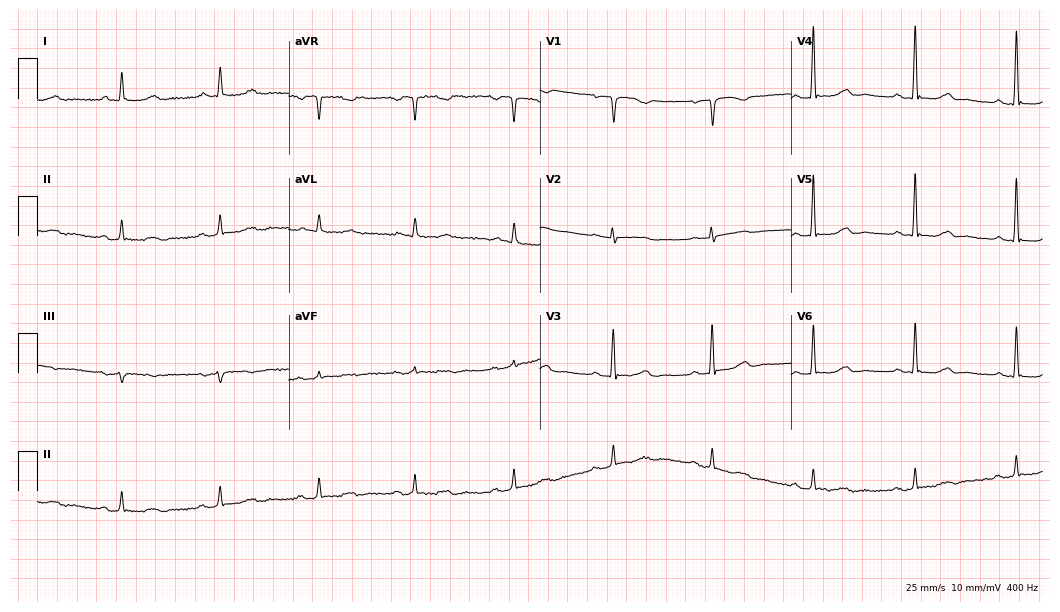
Electrocardiogram, a 60-year-old woman. Of the six screened findings (first-degree AV block, right bundle branch block, left bundle branch block, sinus bradycardia, atrial fibrillation, sinus tachycardia), none is recorded. Only these six findings were labelled.